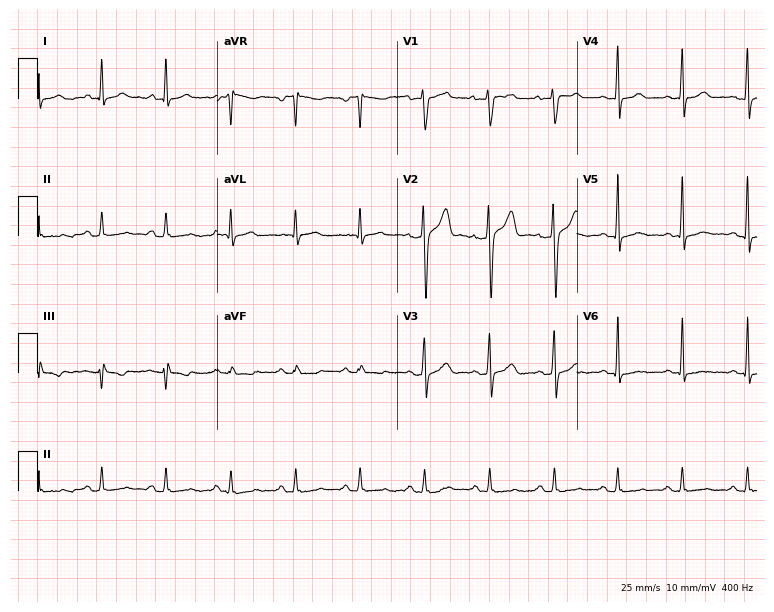
12-lead ECG from a man, 47 years old (7.3-second recording at 400 Hz). Recorded interpretation: within normal limits.